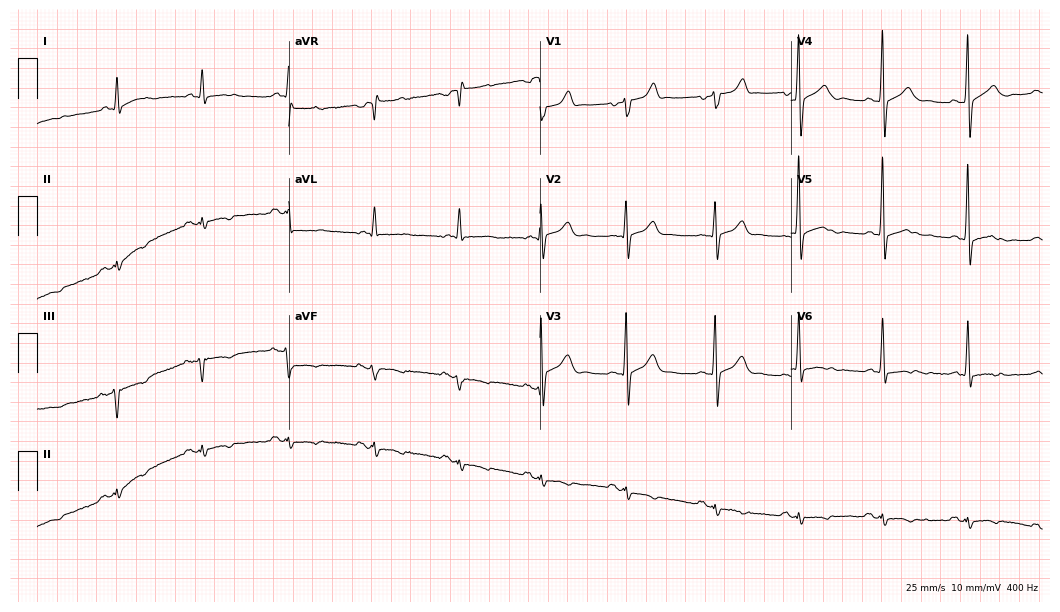
Resting 12-lead electrocardiogram. Patient: a 52-year-old woman. None of these six findings is recorded: first-degree AV block, right bundle branch block (RBBB), left bundle branch block (LBBB), sinus bradycardia, atrial fibrillation (AF), sinus tachycardia.